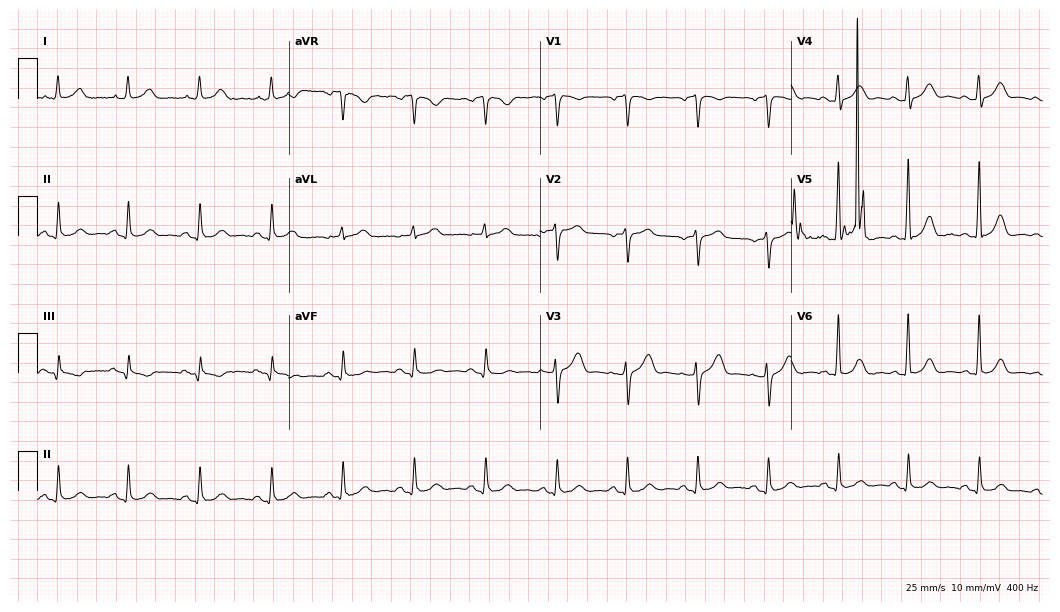
Resting 12-lead electrocardiogram. Patient: a 66-year-old male. Read as a normal ECG.